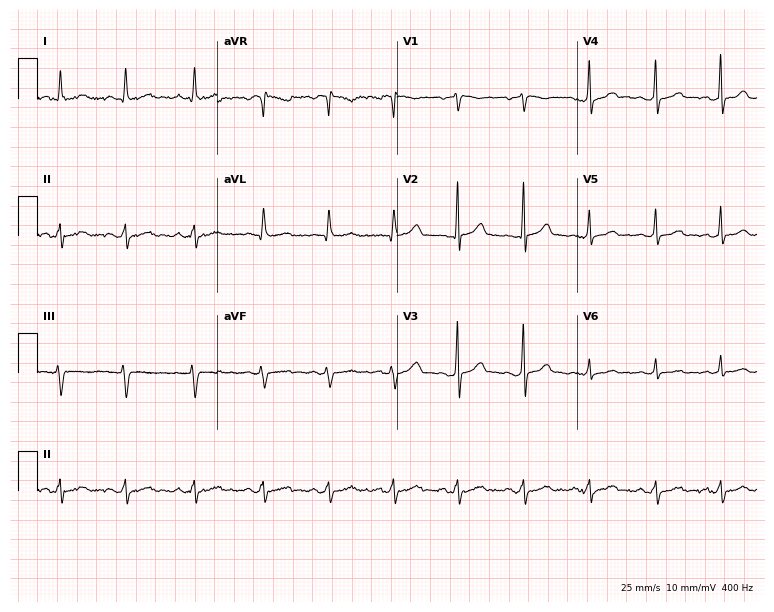
Resting 12-lead electrocardiogram (7.3-second recording at 400 Hz). Patient: a 46-year-old man. None of these six findings is recorded: first-degree AV block, right bundle branch block, left bundle branch block, sinus bradycardia, atrial fibrillation, sinus tachycardia.